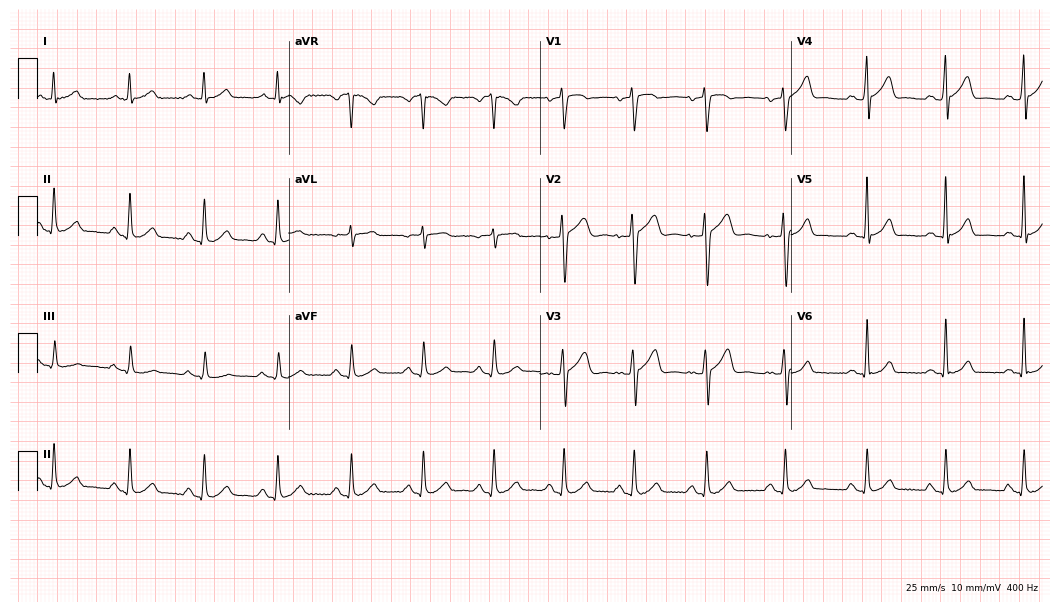
Standard 12-lead ECG recorded from a 47-year-old male. Read as a normal ECG.